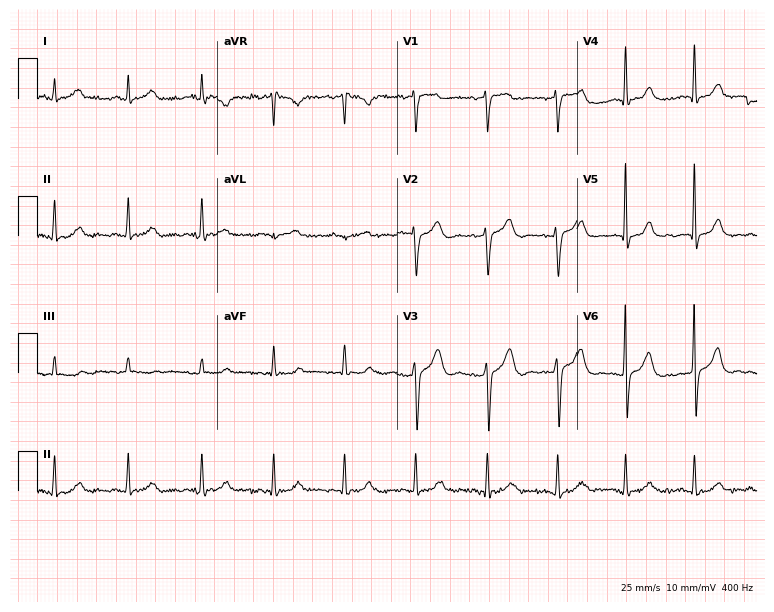
Standard 12-lead ECG recorded from a man, 48 years old (7.3-second recording at 400 Hz). None of these six findings is recorded: first-degree AV block, right bundle branch block (RBBB), left bundle branch block (LBBB), sinus bradycardia, atrial fibrillation (AF), sinus tachycardia.